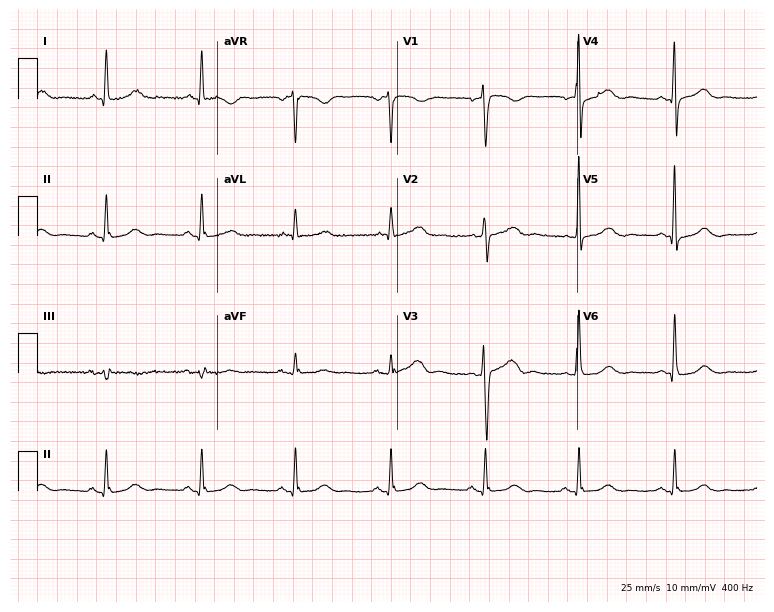
Resting 12-lead electrocardiogram. Patient: a 55-year-old woman. None of these six findings is recorded: first-degree AV block, right bundle branch block, left bundle branch block, sinus bradycardia, atrial fibrillation, sinus tachycardia. Other findings, if any, are not listed.